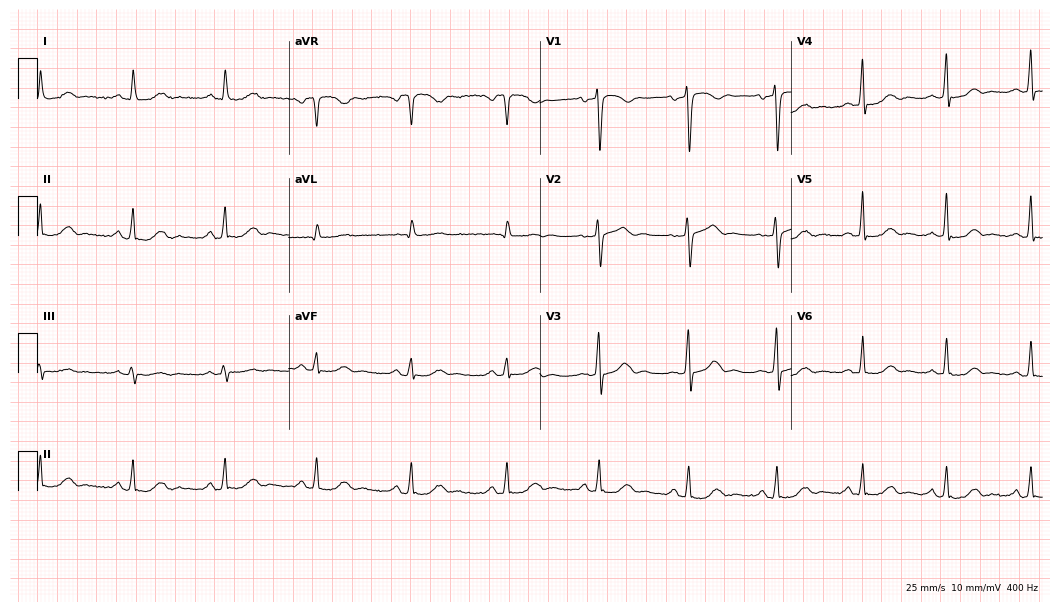
Electrocardiogram (10.2-second recording at 400 Hz), a 58-year-old woman. Overall reading on record: normal ECG.